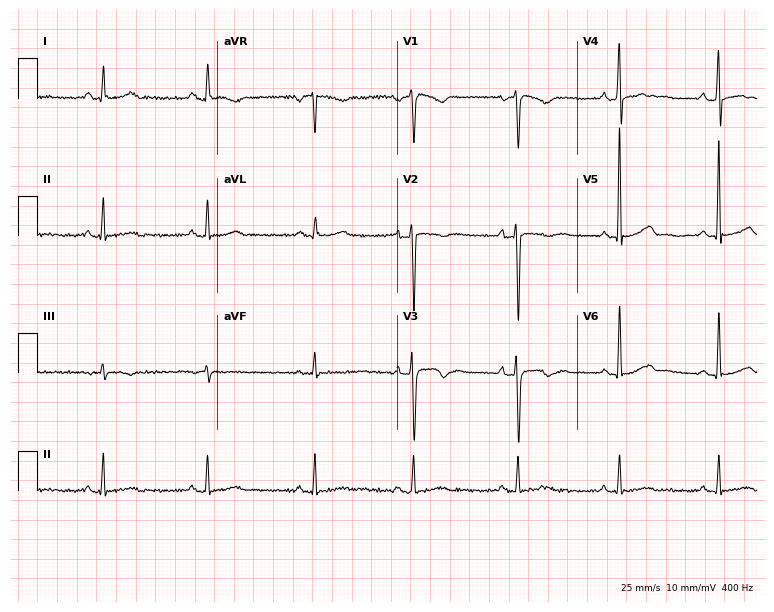
12-lead ECG from a male patient, 36 years old. No first-degree AV block, right bundle branch block, left bundle branch block, sinus bradycardia, atrial fibrillation or sinus tachycardia recorded for this tracing. Findings outside these six are not listed.